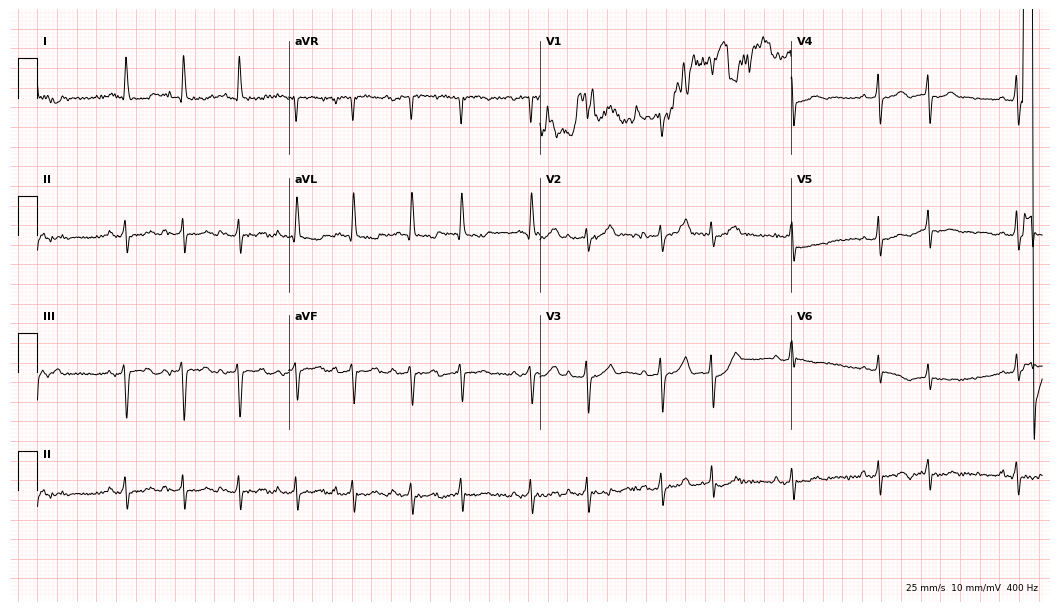
Resting 12-lead electrocardiogram. Patient: a woman, 70 years old. None of these six findings is recorded: first-degree AV block, right bundle branch block, left bundle branch block, sinus bradycardia, atrial fibrillation, sinus tachycardia.